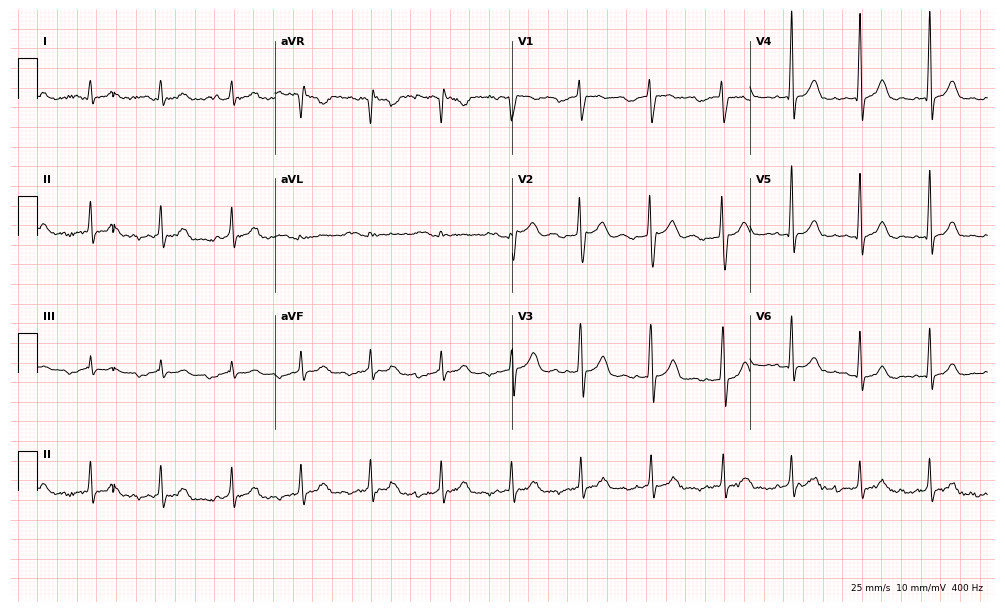
Standard 12-lead ECG recorded from a 31-year-old female. Read as a normal ECG.